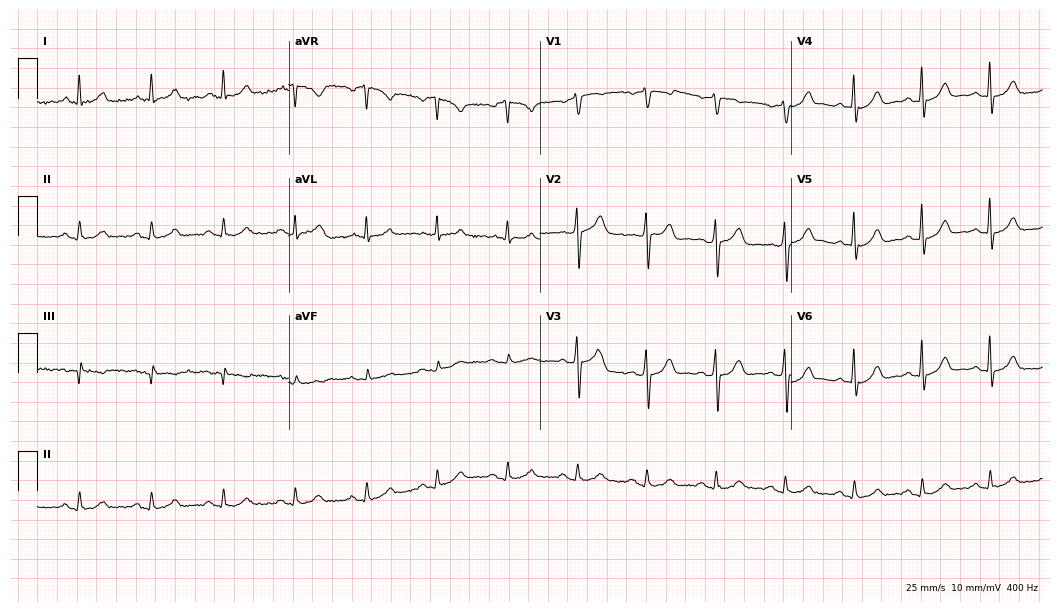
Standard 12-lead ECG recorded from a 69-year-old man (10.2-second recording at 400 Hz). Read as a normal ECG.